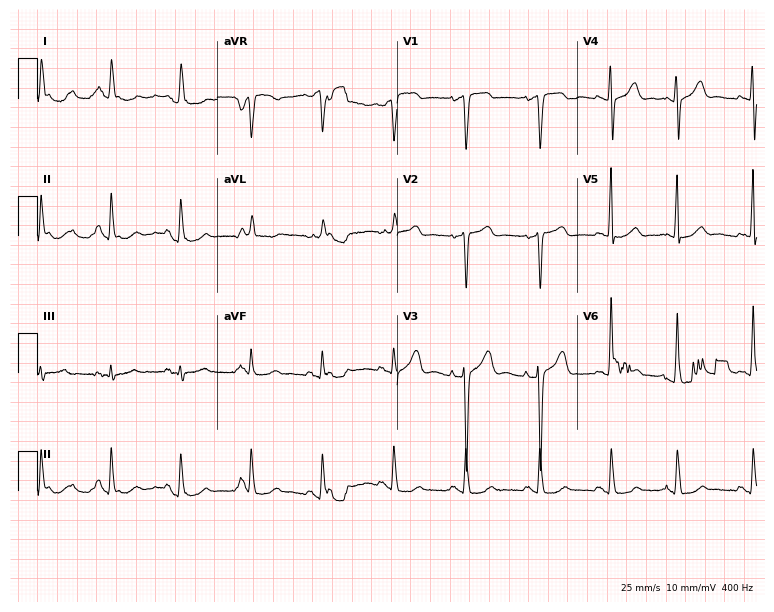
12-lead ECG from an 82-year-old woman. Labelled as a normal ECG.